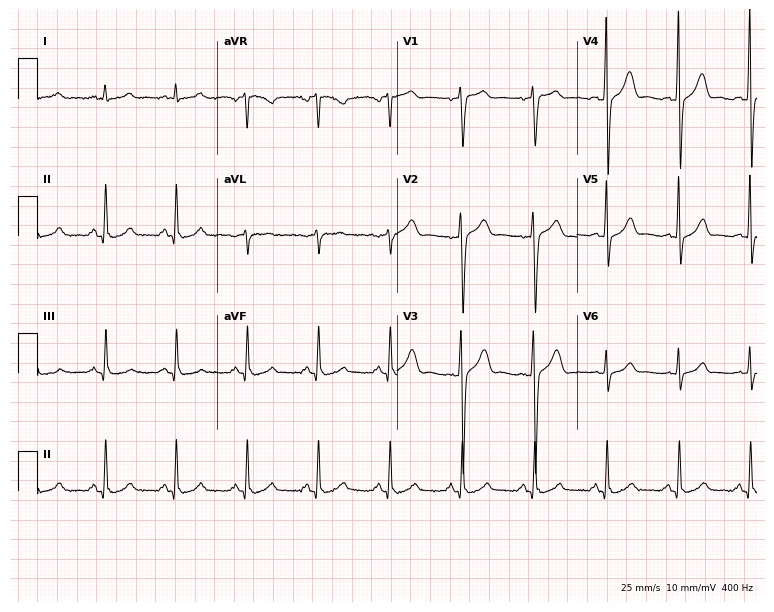
12-lead ECG (7.3-second recording at 400 Hz) from a male, 72 years old. Screened for six findings — first-degree AV block, right bundle branch block, left bundle branch block, sinus bradycardia, atrial fibrillation, sinus tachycardia — none is recorded.